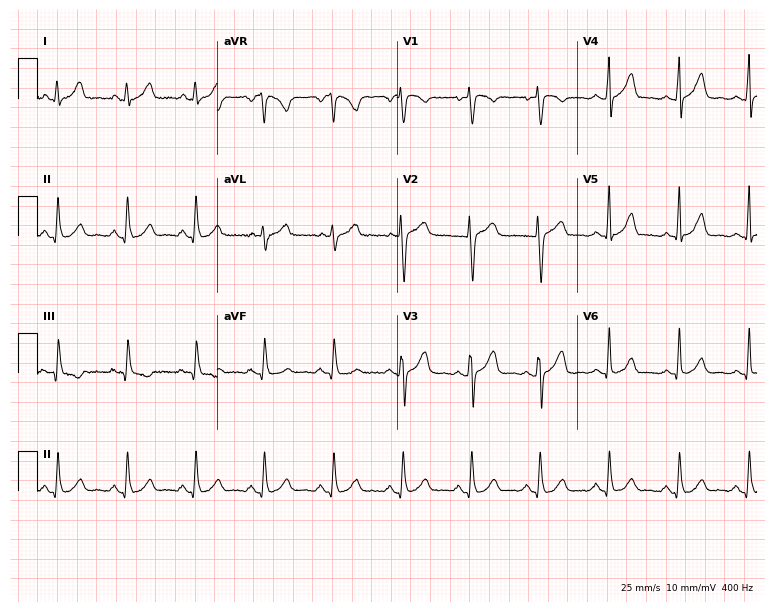
12-lead ECG from a 25-year-old woman. Recorded interpretation: within normal limits.